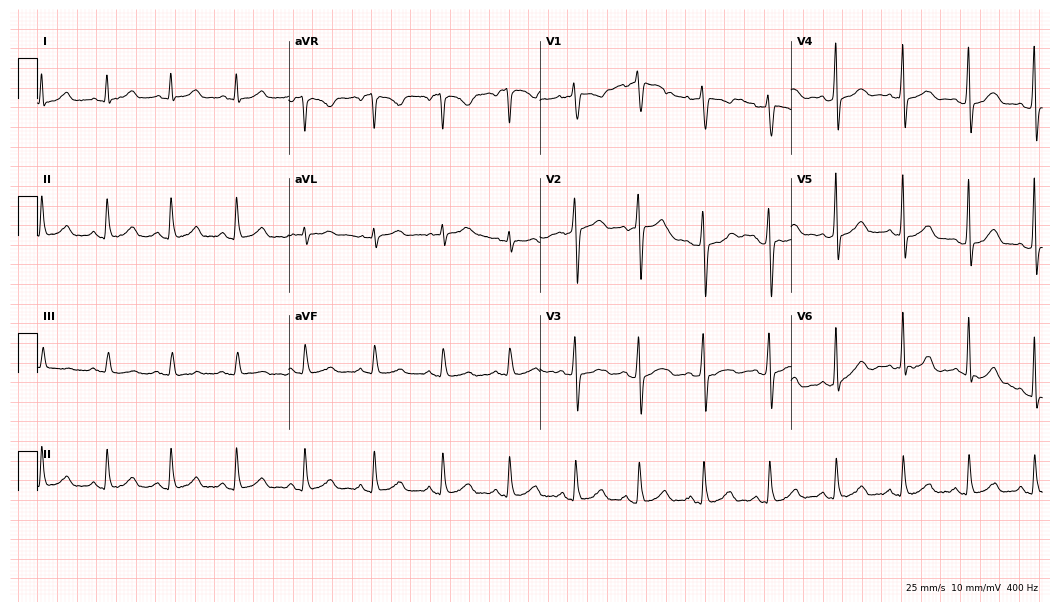
12-lead ECG from a 42-year-old female. Recorded interpretation: within normal limits.